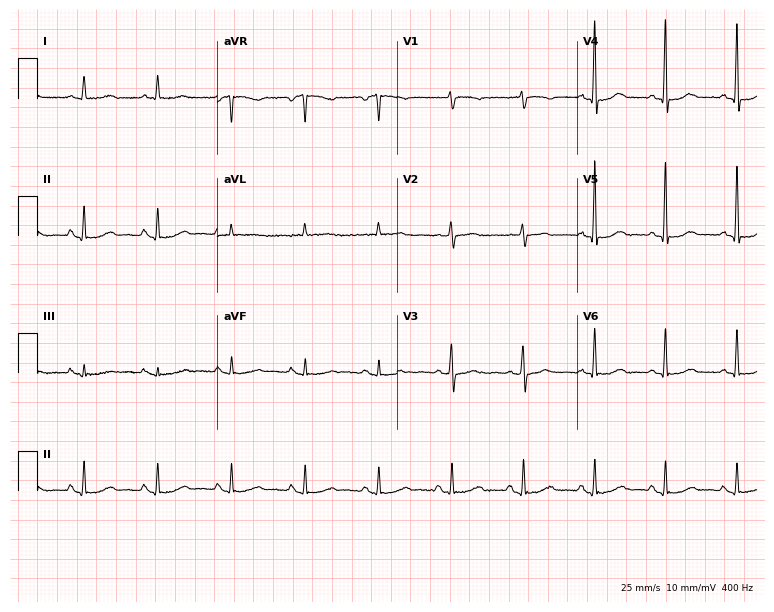
Standard 12-lead ECG recorded from an 82-year-old female (7.3-second recording at 400 Hz). Read as a normal ECG.